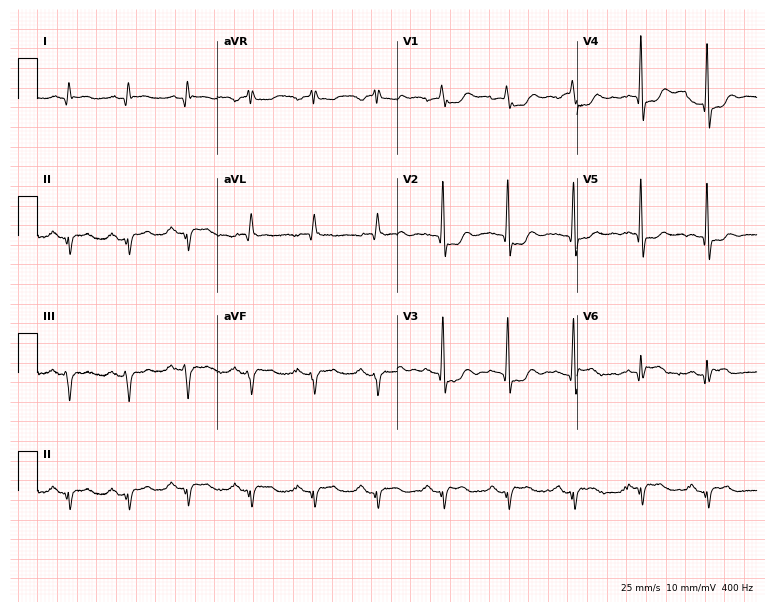
Resting 12-lead electrocardiogram. Patient: a male, 85 years old. None of these six findings is recorded: first-degree AV block, right bundle branch block, left bundle branch block, sinus bradycardia, atrial fibrillation, sinus tachycardia. Only these six findings were labelled.